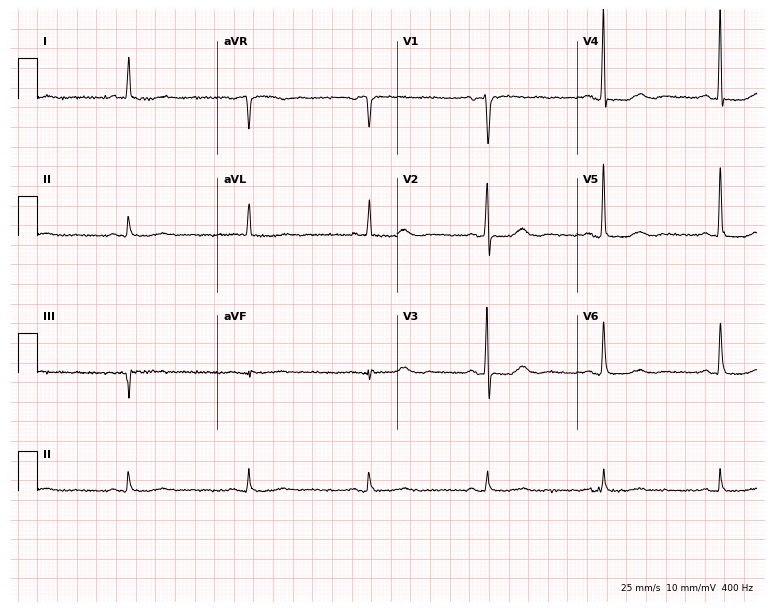
Standard 12-lead ECG recorded from a 62-year-old female patient (7.3-second recording at 400 Hz). None of these six findings is recorded: first-degree AV block, right bundle branch block (RBBB), left bundle branch block (LBBB), sinus bradycardia, atrial fibrillation (AF), sinus tachycardia.